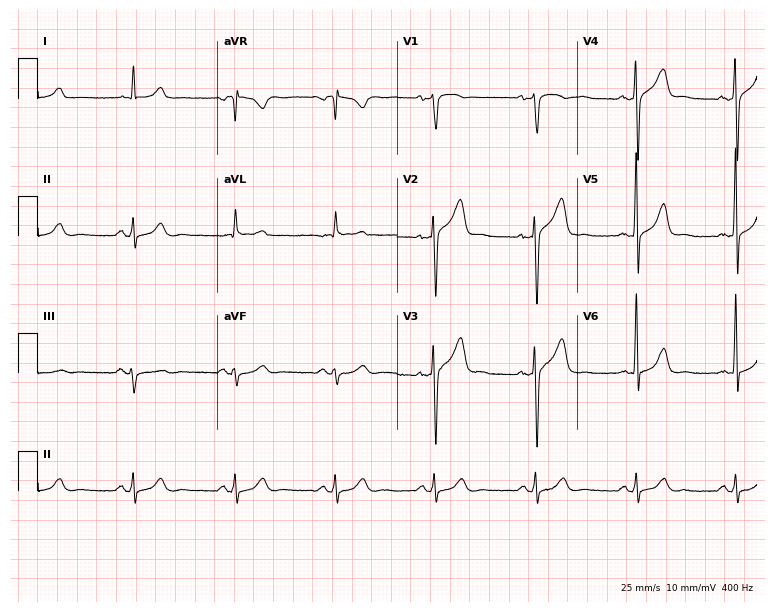
Standard 12-lead ECG recorded from a male, 77 years old (7.3-second recording at 400 Hz). Read as a normal ECG.